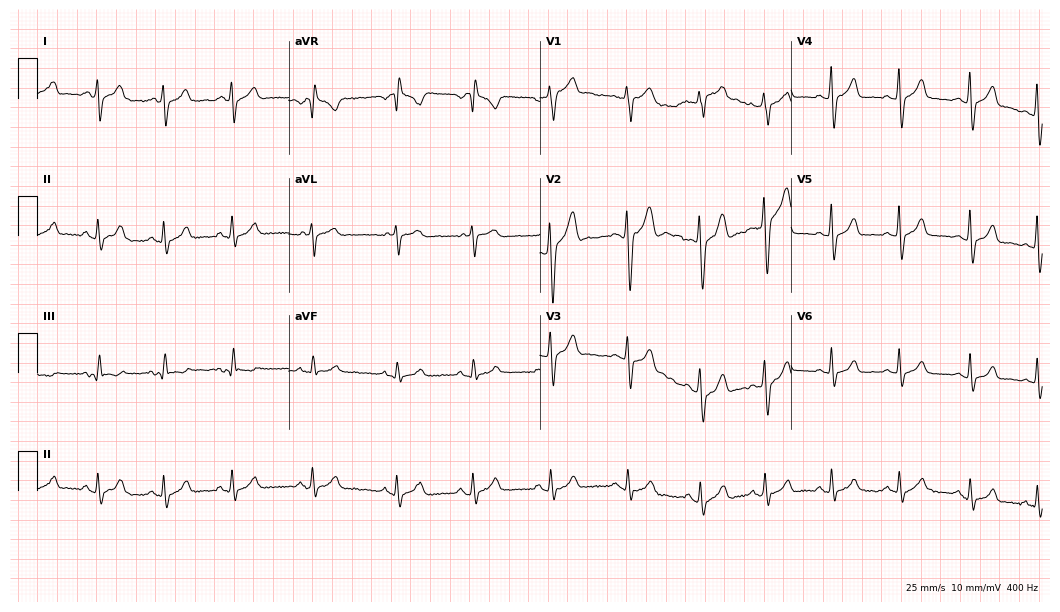
Electrocardiogram (10.2-second recording at 400 Hz), a male, 22 years old. Overall reading on record: normal ECG.